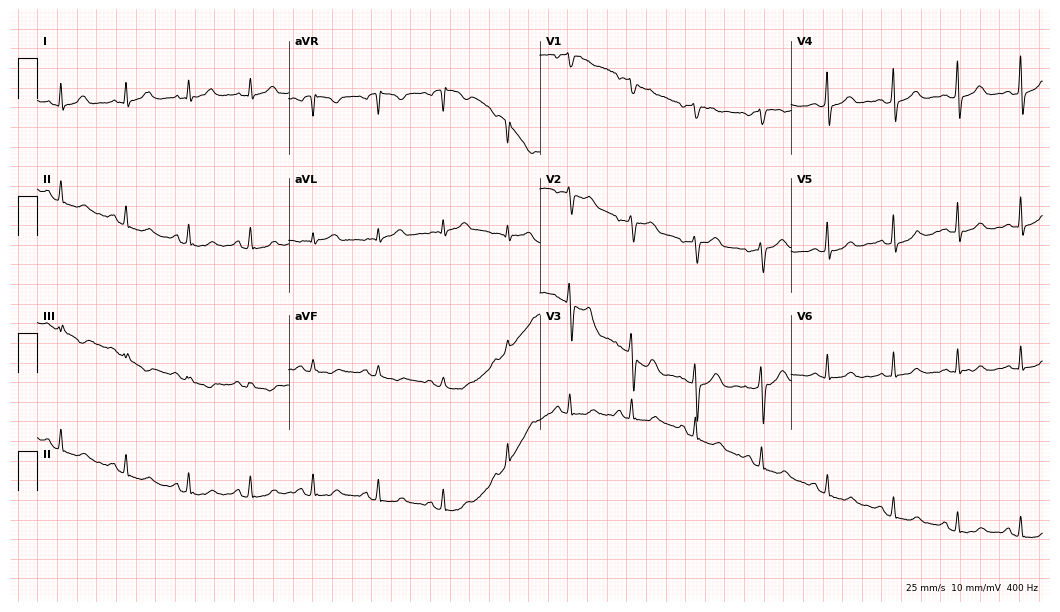
Electrocardiogram (10.2-second recording at 400 Hz), a 44-year-old woman. Overall reading on record: normal ECG.